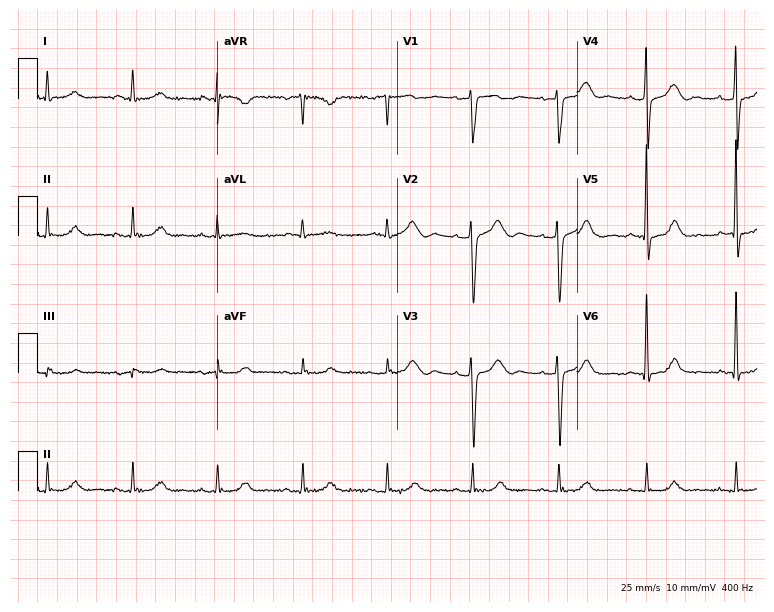
Resting 12-lead electrocardiogram (7.3-second recording at 400 Hz). Patient: a 79-year-old male. Read as a normal ECG.